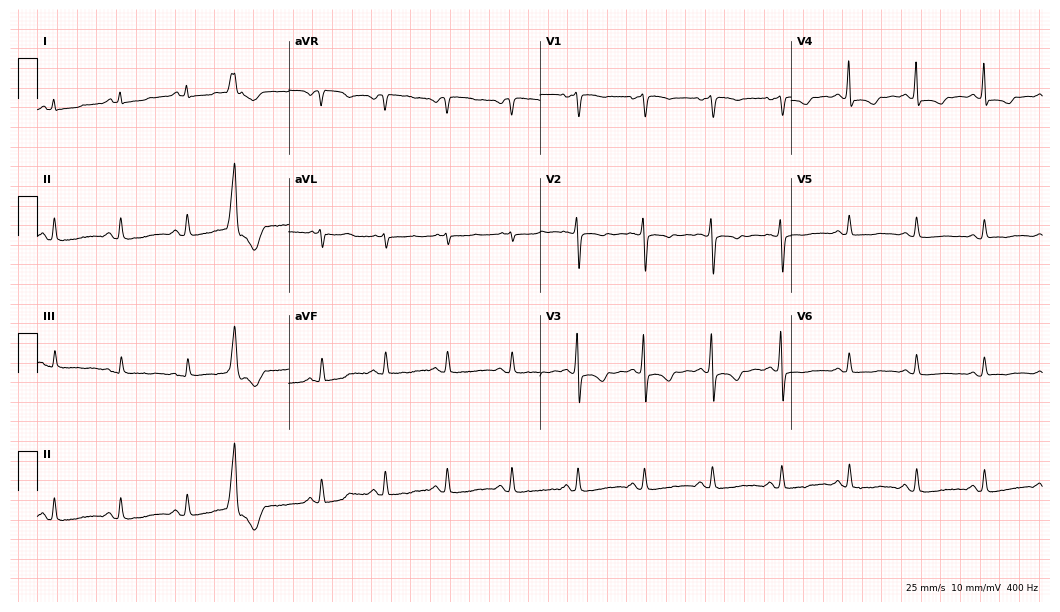
12-lead ECG from a 61-year-old female patient. No first-degree AV block, right bundle branch block (RBBB), left bundle branch block (LBBB), sinus bradycardia, atrial fibrillation (AF) or sinus tachycardia recorded for this tracing. Findings outside these six are not listed.